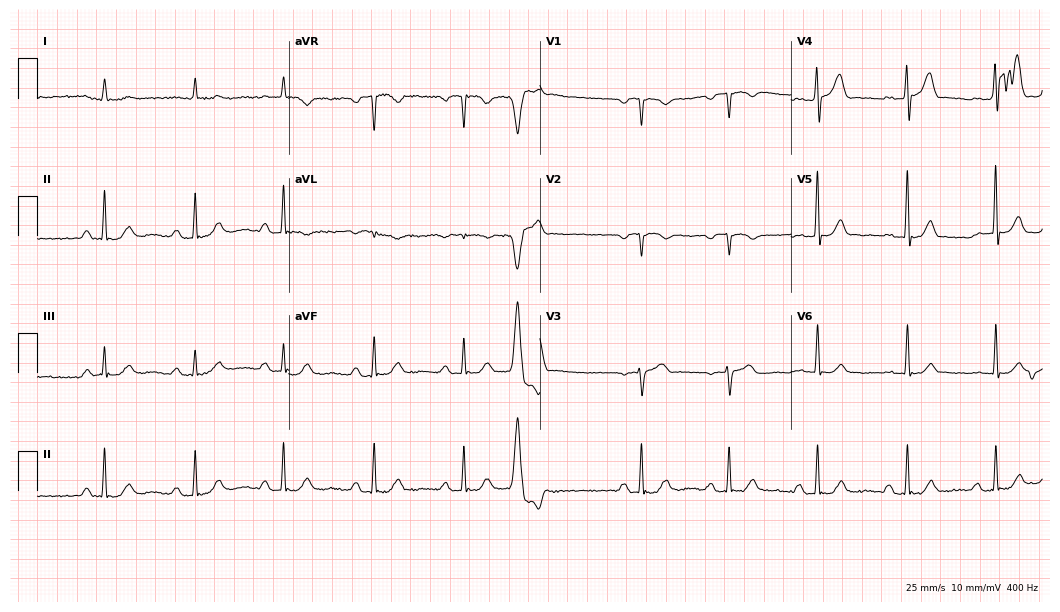
Standard 12-lead ECG recorded from an 81-year-old male. None of these six findings is recorded: first-degree AV block, right bundle branch block, left bundle branch block, sinus bradycardia, atrial fibrillation, sinus tachycardia. Other findings, if any, are not listed.